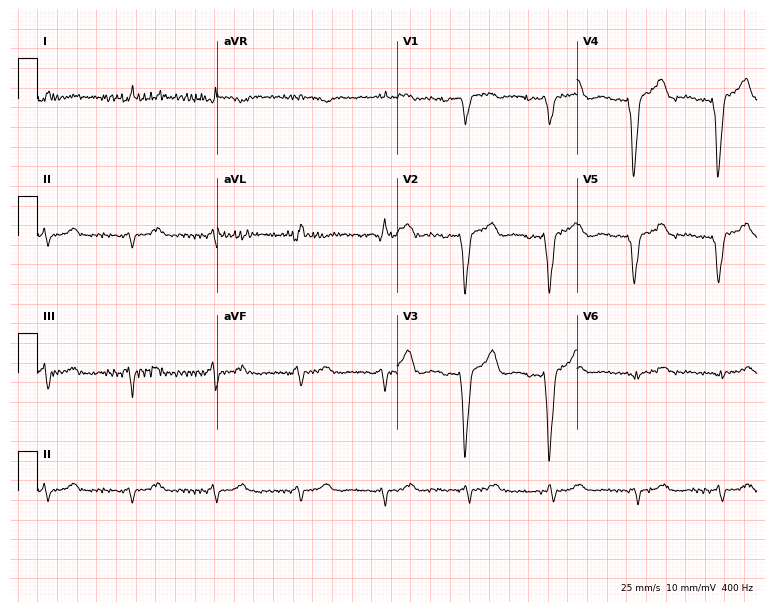
ECG (7.3-second recording at 400 Hz) — a 77-year-old woman. Screened for six findings — first-degree AV block, right bundle branch block, left bundle branch block, sinus bradycardia, atrial fibrillation, sinus tachycardia — none is recorded. Other findings, if any, are not listed.